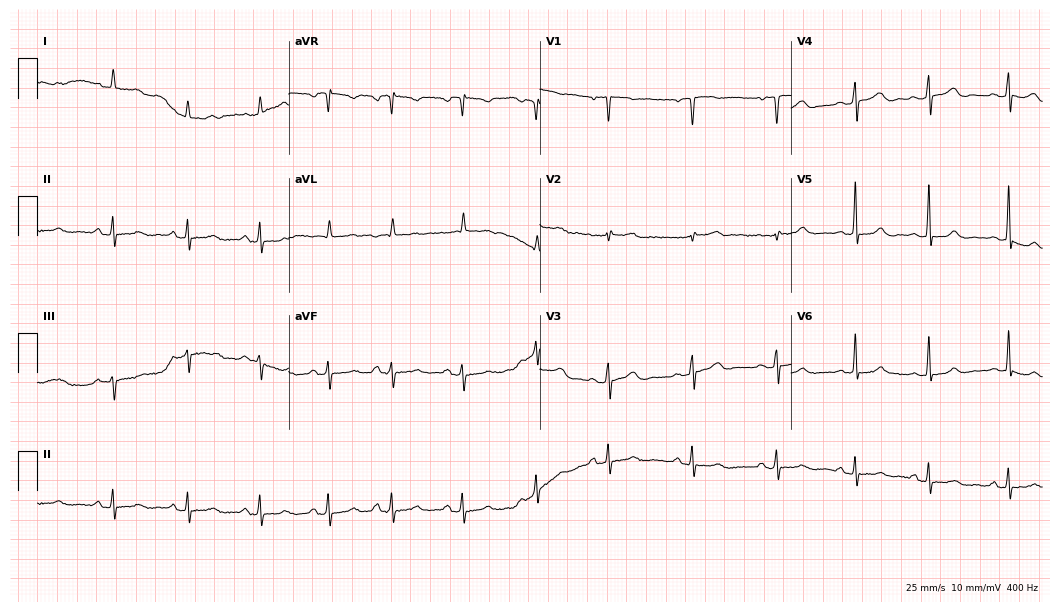
Standard 12-lead ECG recorded from a female, 25 years old (10.2-second recording at 400 Hz). Read as a normal ECG.